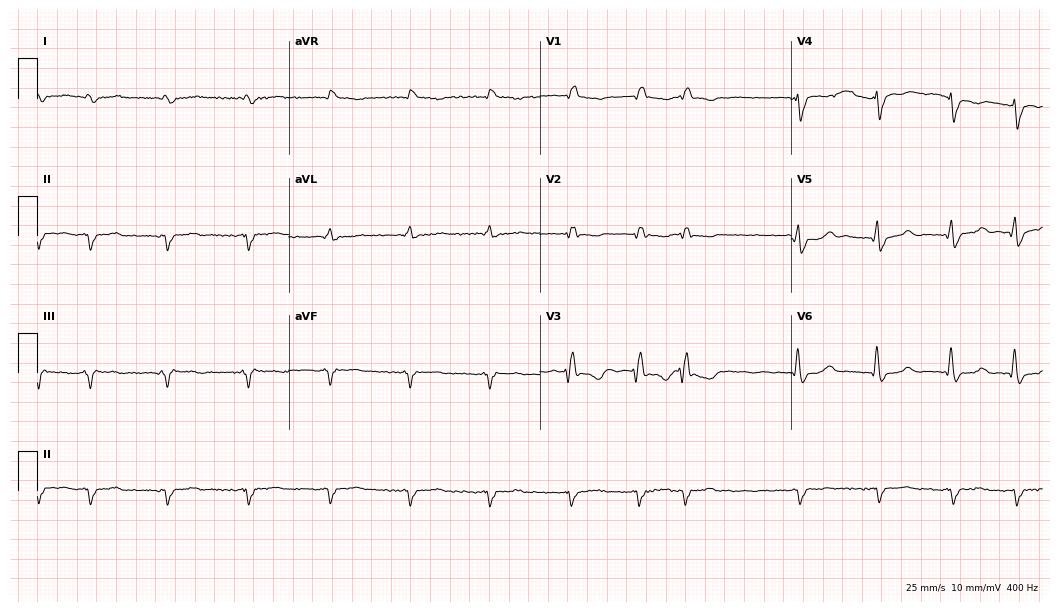
12-lead ECG from a 67-year-old woman. Shows right bundle branch block (RBBB), atrial fibrillation (AF).